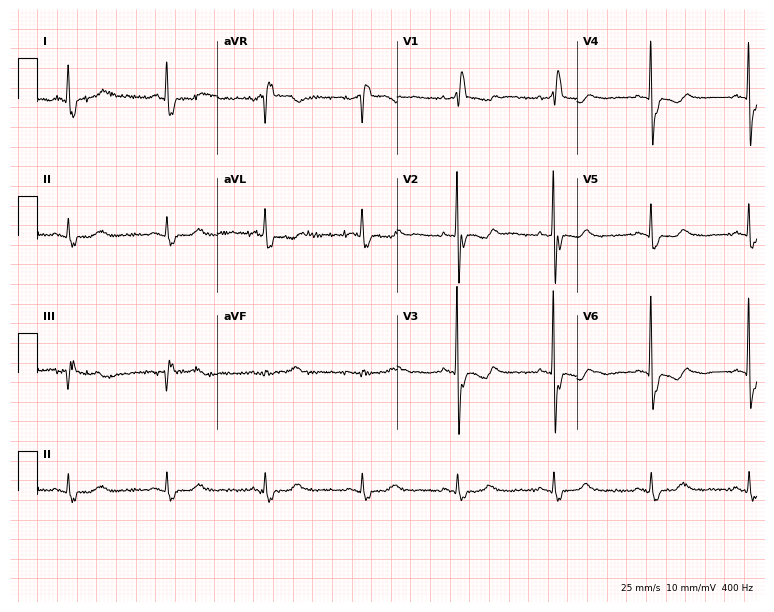
ECG — a 75-year-old woman. Findings include right bundle branch block (RBBB).